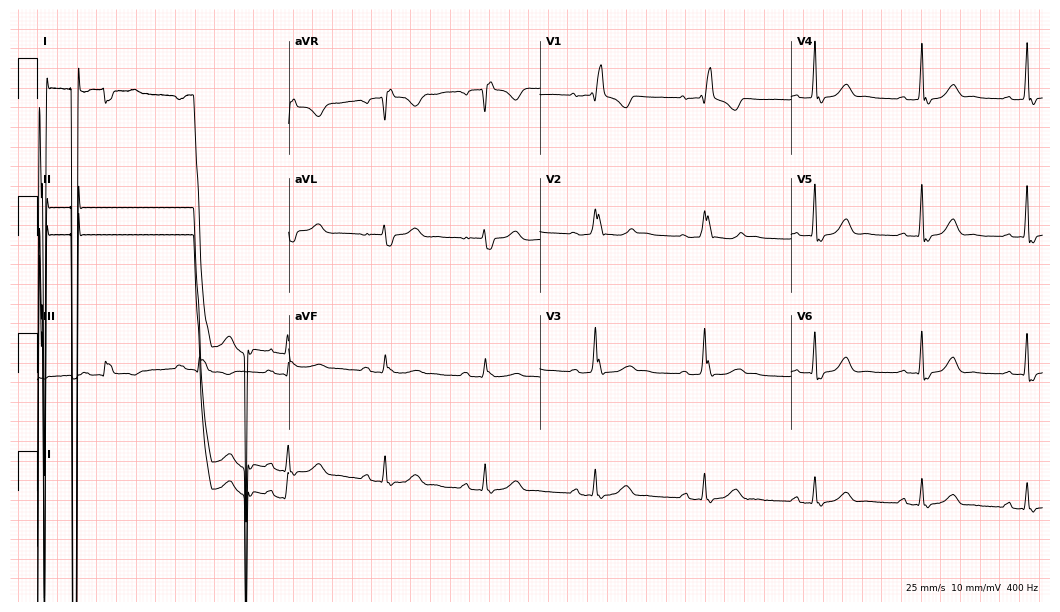
Standard 12-lead ECG recorded from a woman, 52 years old. None of these six findings is recorded: first-degree AV block, right bundle branch block, left bundle branch block, sinus bradycardia, atrial fibrillation, sinus tachycardia. Only these six findings were labelled.